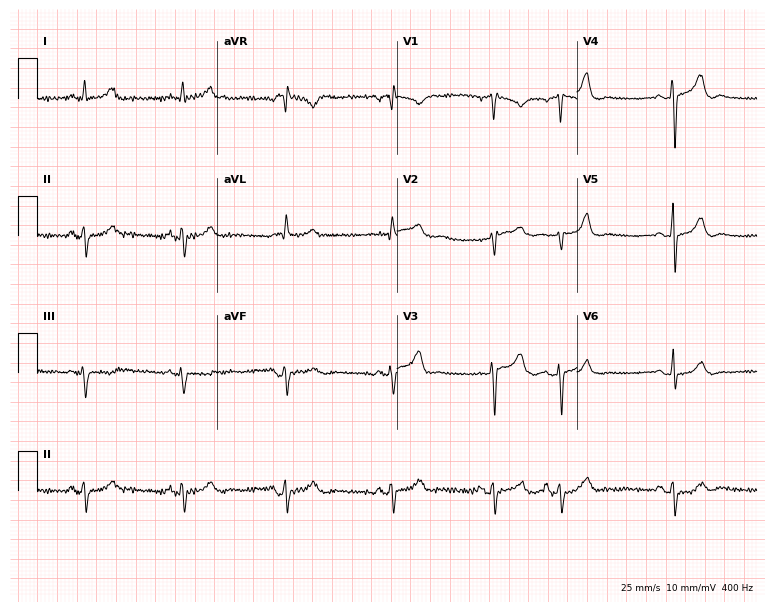
Standard 12-lead ECG recorded from a woman, 84 years old (7.3-second recording at 400 Hz). None of these six findings is recorded: first-degree AV block, right bundle branch block, left bundle branch block, sinus bradycardia, atrial fibrillation, sinus tachycardia.